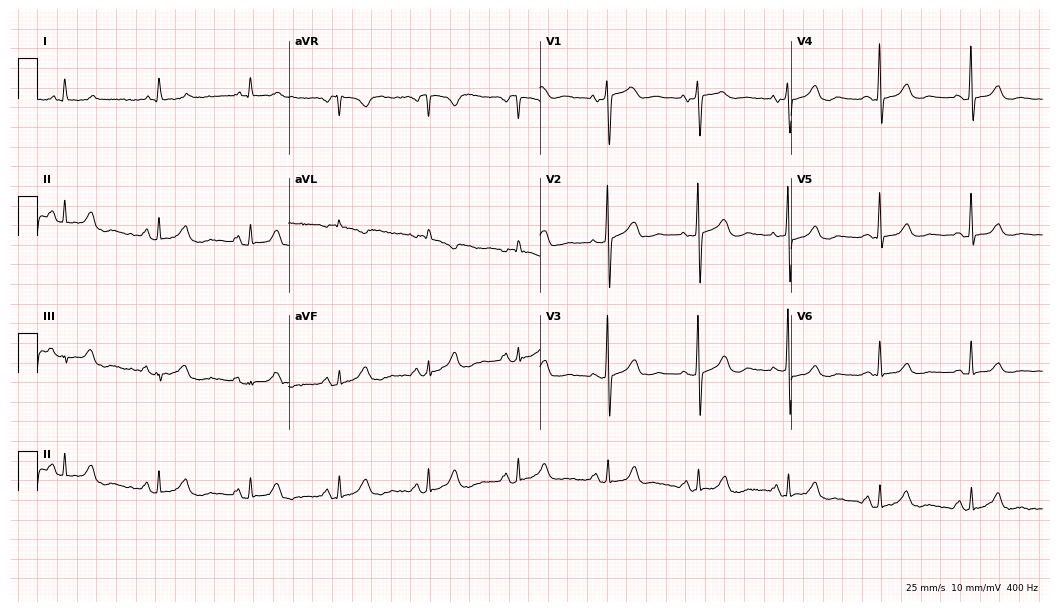
12-lead ECG from a female patient, 77 years old (10.2-second recording at 400 Hz). Recorded interpretation: within normal limits.